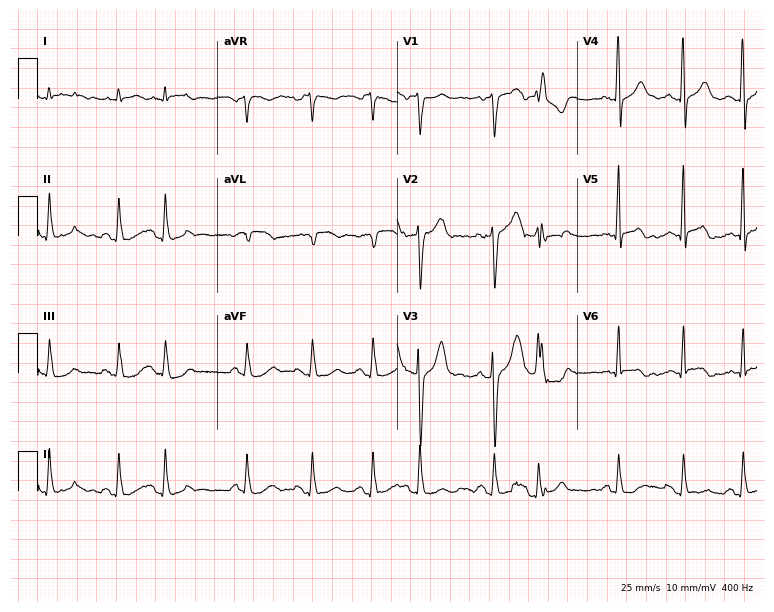
Resting 12-lead electrocardiogram (7.3-second recording at 400 Hz). Patient: a man, 75 years old. None of these six findings is recorded: first-degree AV block, right bundle branch block (RBBB), left bundle branch block (LBBB), sinus bradycardia, atrial fibrillation (AF), sinus tachycardia.